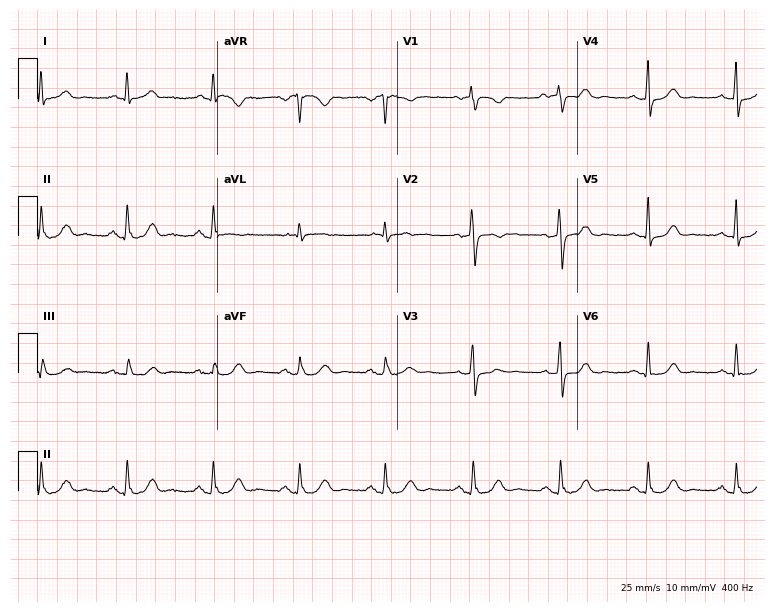
12-lead ECG from a female patient, 55 years old. Recorded interpretation: within normal limits.